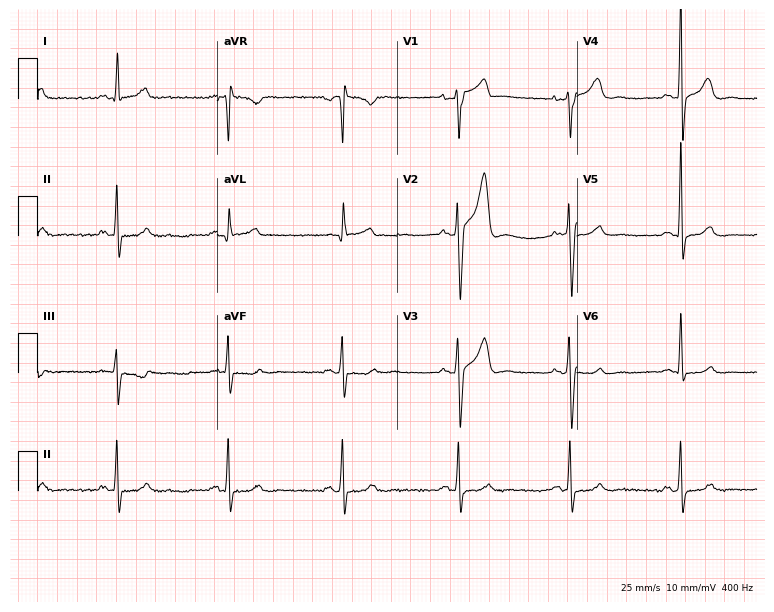
12-lead ECG from a male, 37 years old. No first-degree AV block, right bundle branch block (RBBB), left bundle branch block (LBBB), sinus bradycardia, atrial fibrillation (AF) or sinus tachycardia recorded for this tracing.